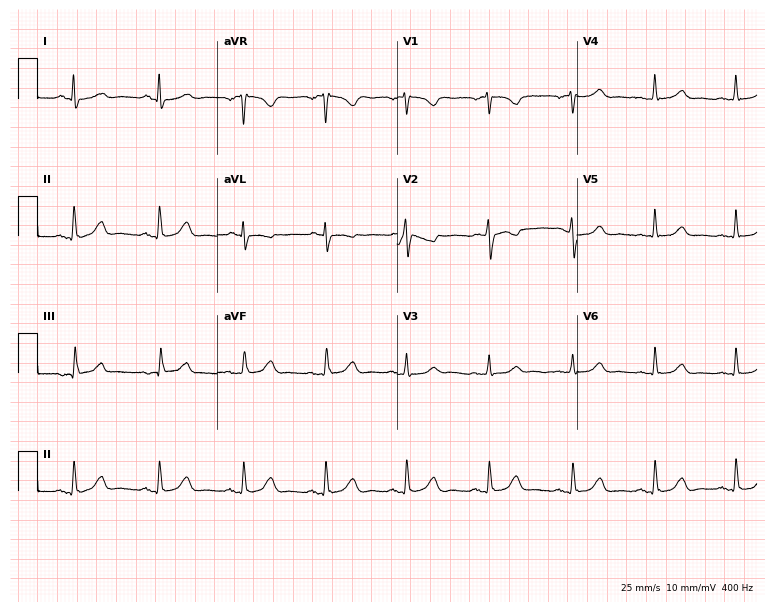
Resting 12-lead electrocardiogram. Patient: a 54-year-old female. Read as a normal ECG.